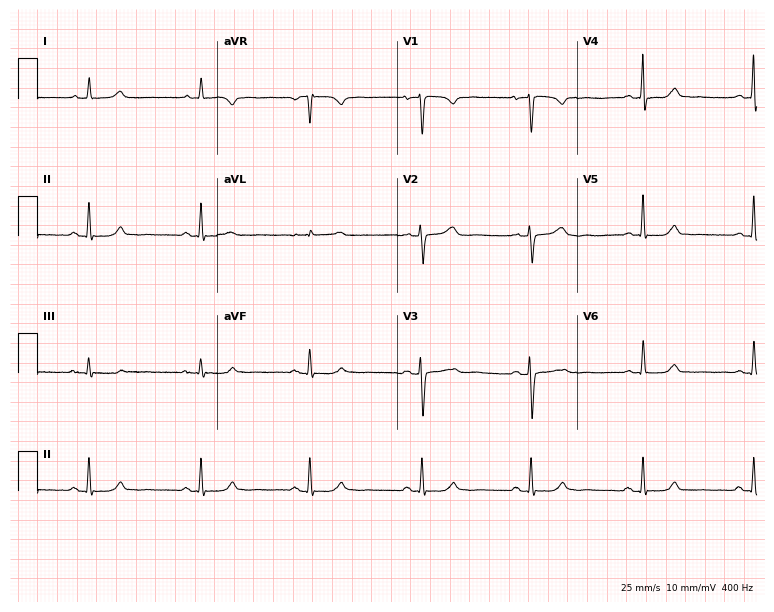
Electrocardiogram (7.3-second recording at 400 Hz), a 48-year-old female. Of the six screened findings (first-degree AV block, right bundle branch block, left bundle branch block, sinus bradycardia, atrial fibrillation, sinus tachycardia), none is recorded.